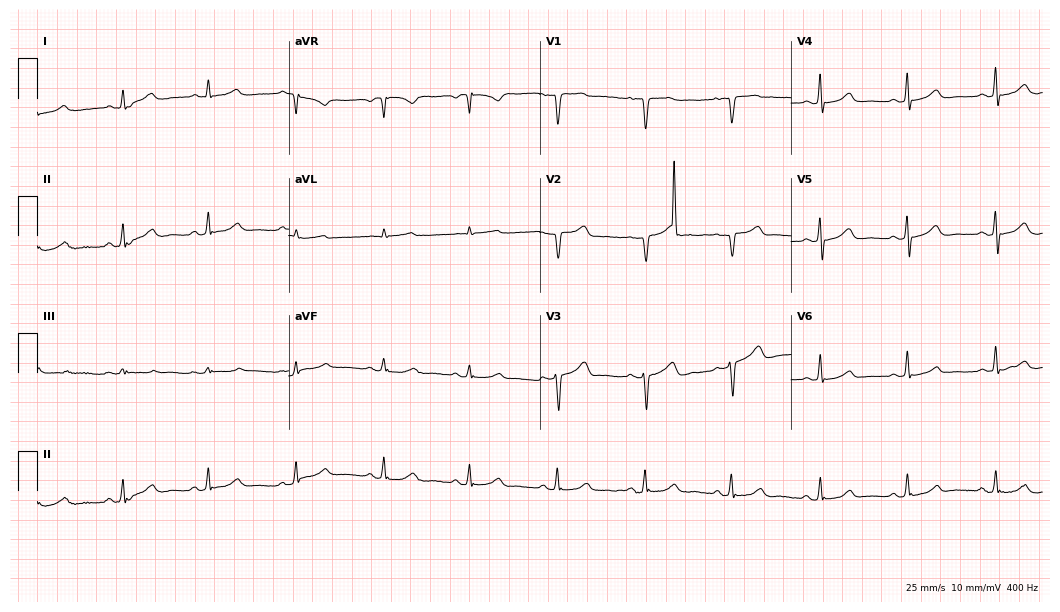
ECG (10.2-second recording at 400 Hz) — a woman, 56 years old. Labelled as a normal ECG.